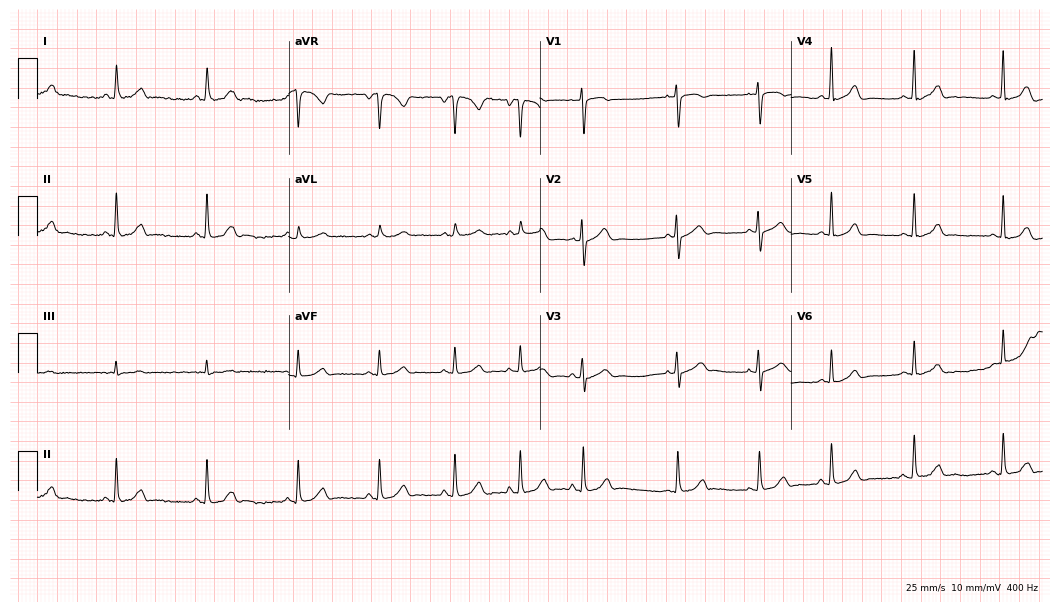
Resting 12-lead electrocardiogram (10.2-second recording at 400 Hz). Patient: a female, 19 years old. Read as a normal ECG.